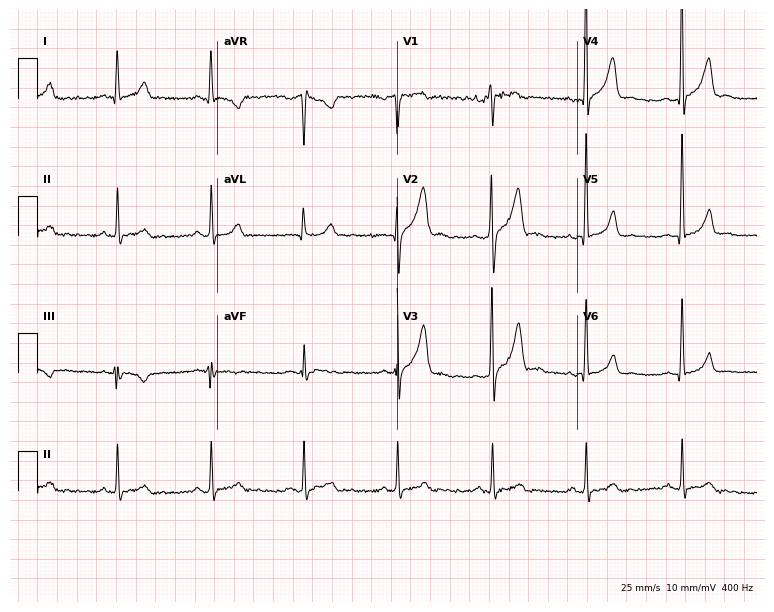
12-lead ECG from a 35-year-old man. Screened for six findings — first-degree AV block, right bundle branch block (RBBB), left bundle branch block (LBBB), sinus bradycardia, atrial fibrillation (AF), sinus tachycardia — none is recorded. Other findings, if any, are not listed.